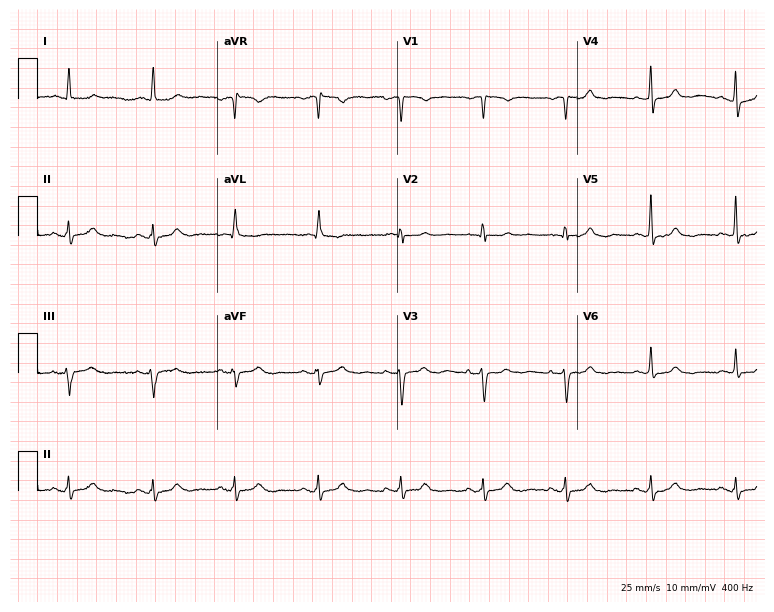
12-lead ECG from a female, 78 years old (7.3-second recording at 400 Hz). Recorded interpretation: within normal limits.